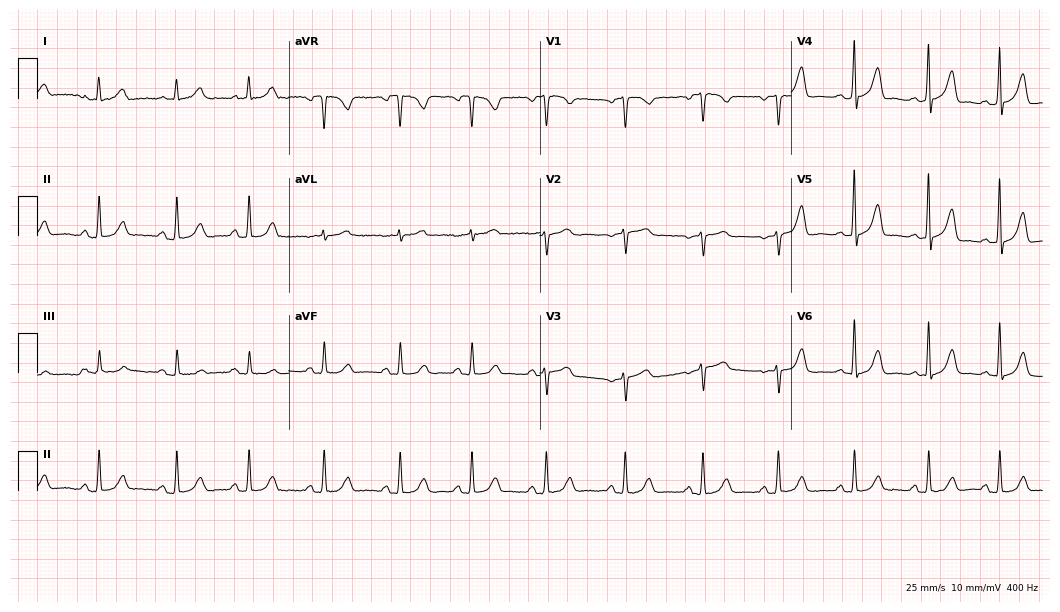
12-lead ECG from a woman, 43 years old. No first-degree AV block, right bundle branch block, left bundle branch block, sinus bradycardia, atrial fibrillation or sinus tachycardia recorded for this tracing.